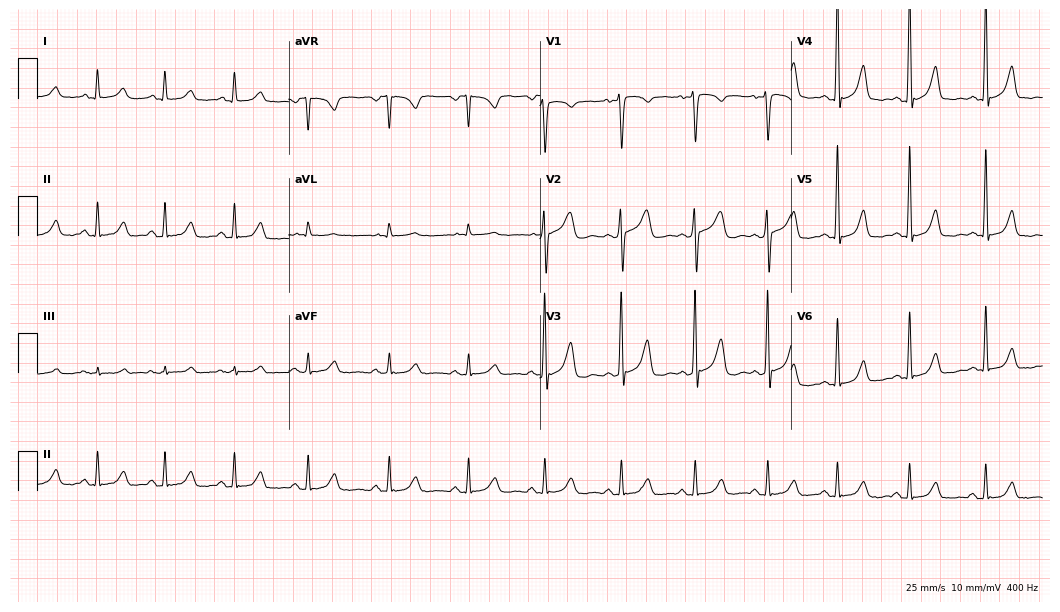
Electrocardiogram (10.2-second recording at 400 Hz), a female, 40 years old. Of the six screened findings (first-degree AV block, right bundle branch block, left bundle branch block, sinus bradycardia, atrial fibrillation, sinus tachycardia), none is recorded.